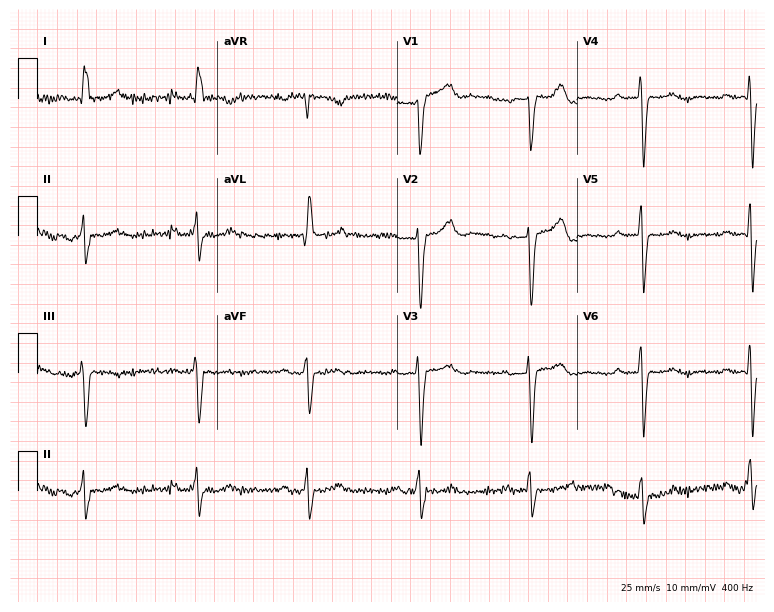
Electrocardiogram, a woman, 71 years old. Of the six screened findings (first-degree AV block, right bundle branch block, left bundle branch block, sinus bradycardia, atrial fibrillation, sinus tachycardia), none is recorded.